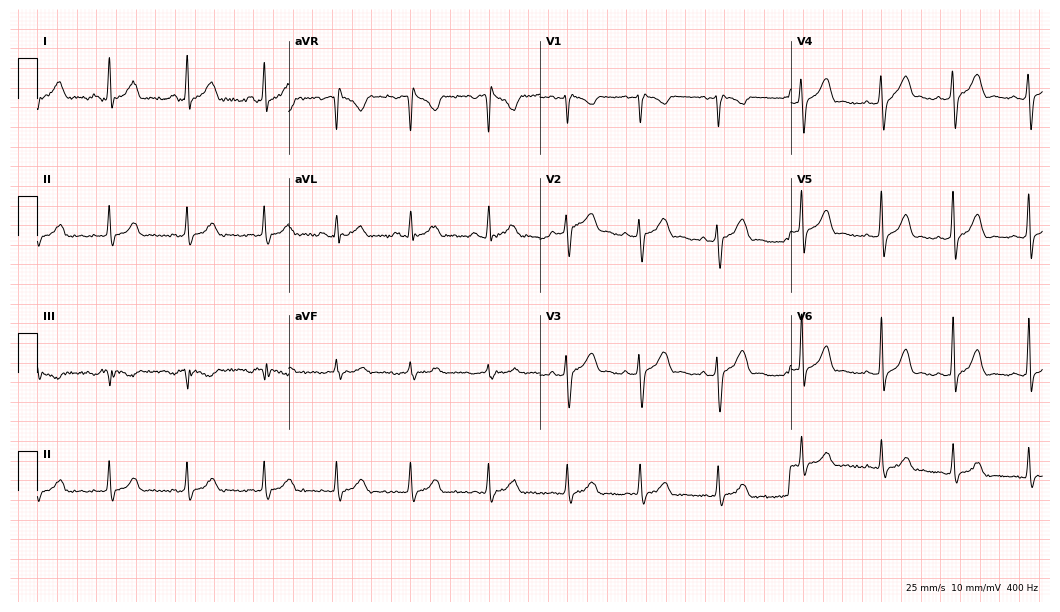
Standard 12-lead ECG recorded from a 28-year-old female. Read as a normal ECG.